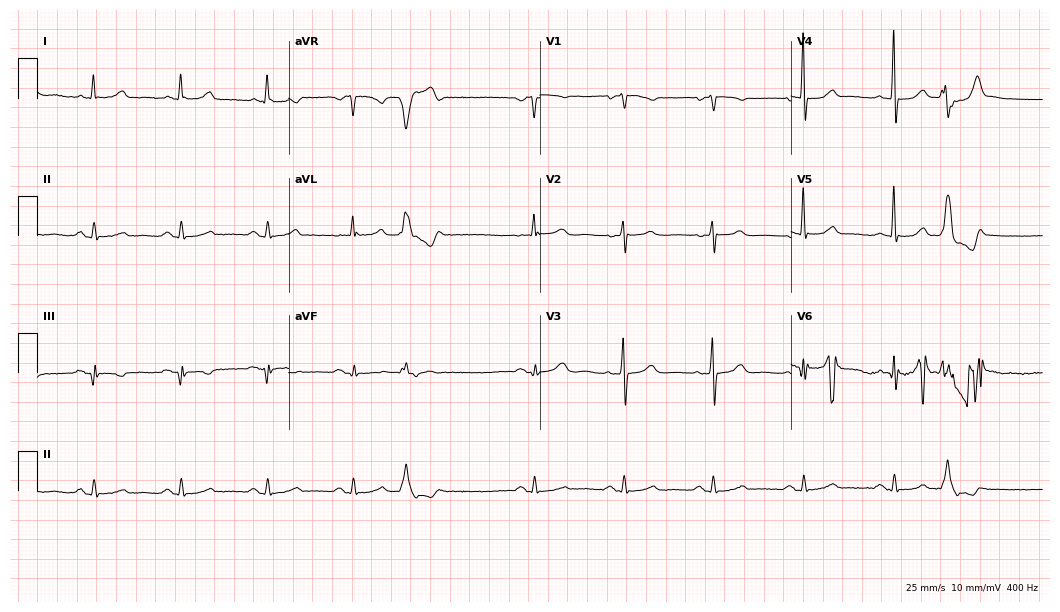
12-lead ECG from a 69-year-old female (10.2-second recording at 400 Hz). No first-degree AV block, right bundle branch block (RBBB), left bundle branch block (LBBB), sinus bradycardia, atrial fibrillation (AF) or sinus tachycardia recorded for this tracing. Findings outside these six are not listed.